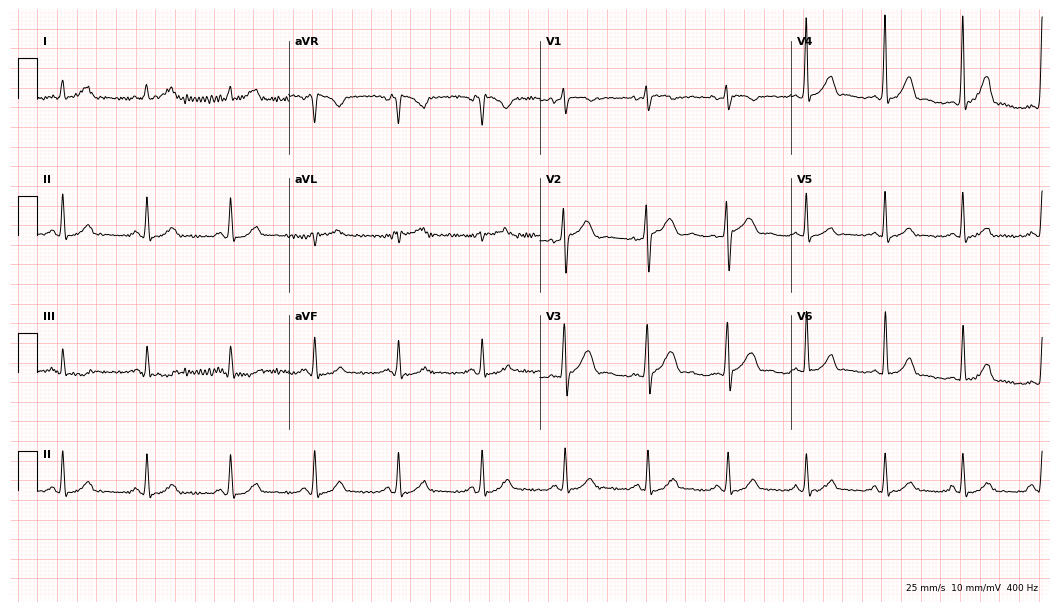
Electrocardiogram, a 47-year-old man. Overall reading on record: normal ECG.